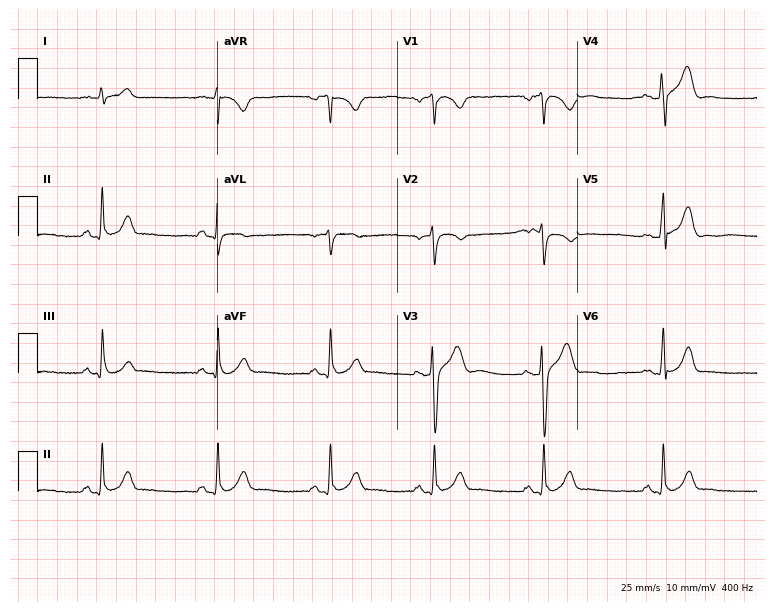
Electrocardiogram, a male patient, 40 years old. Overall reading on record: normal ECG.